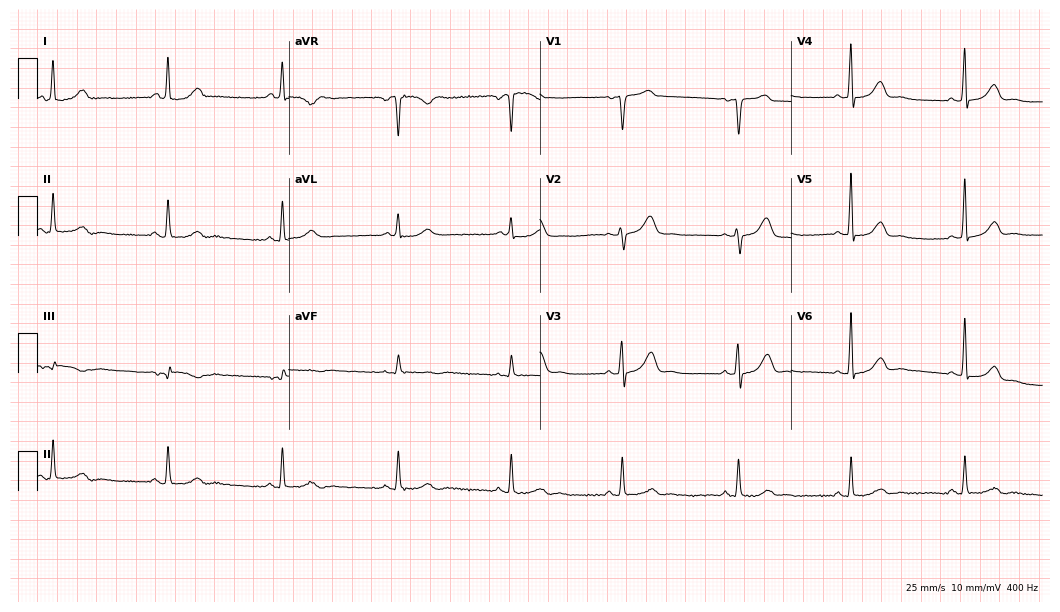
12-lead ECG from a 46-year-old female. Labelled as a normal ECG.